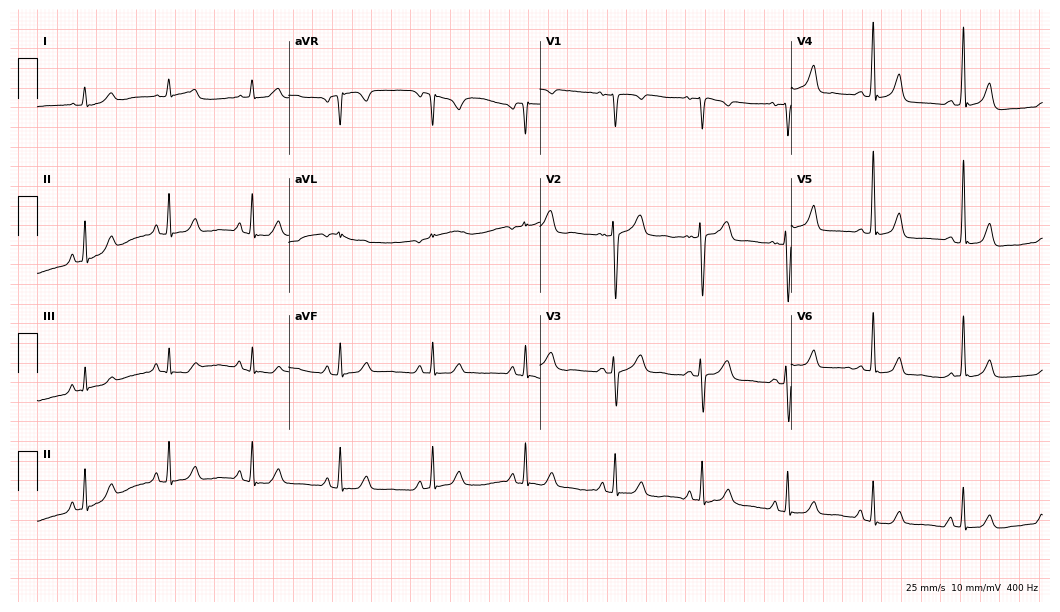
Standard 12-lead ECG recorded from a 52-year-old female patient. Read as a normal ECG.